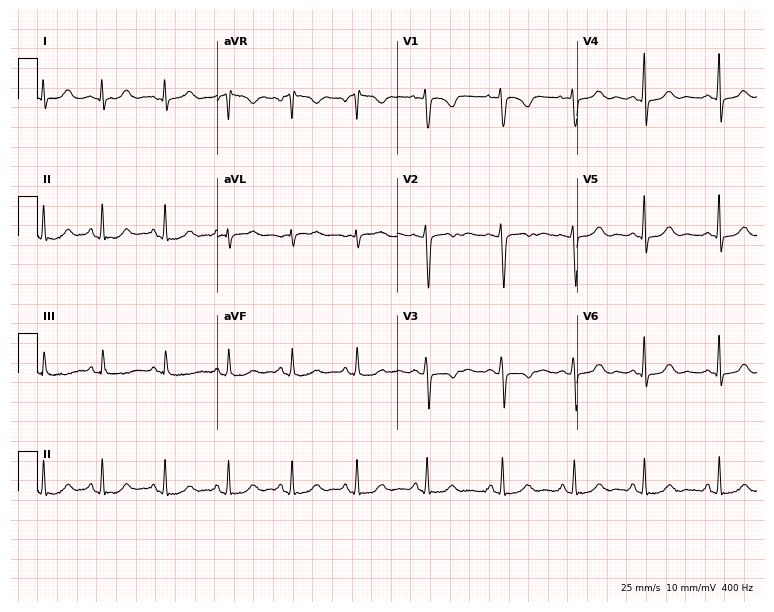
12-lead ECG from a woman, 40 years old. Screened for six findings — first-degree AV block, right bundle branch block, left bundle branch block, sinus bradycardia, atrial fibrillation, sinus tachycardia — none is recorded. Other findings, if any, are not listed.